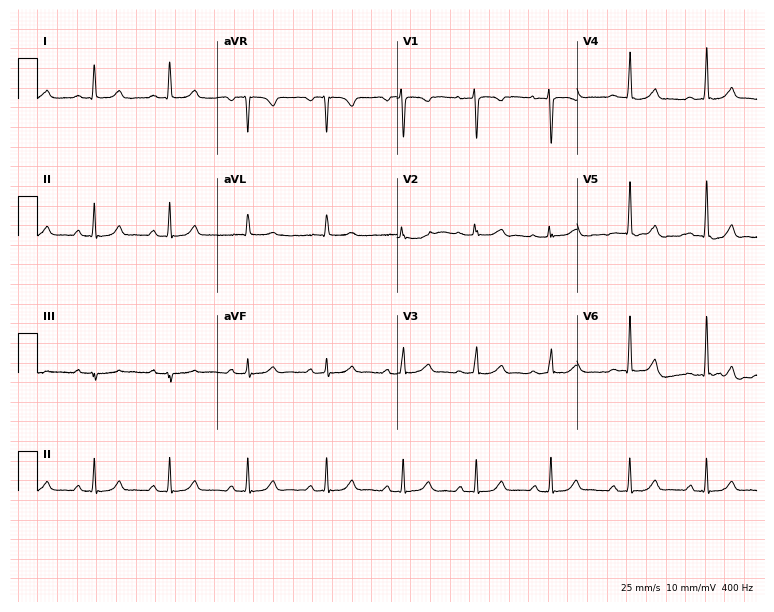
ECG (7.3-second recording at 400 Hz) — a female, 32 years old. Screened for six findings — first-degree AV block, right bundle branch block (RBBB), left bundle branch block (LBBB), sinus bradycardia, atrial fibrillation (AF), sinus tachycardia — none is recorded. Findings outside these six are not listed.